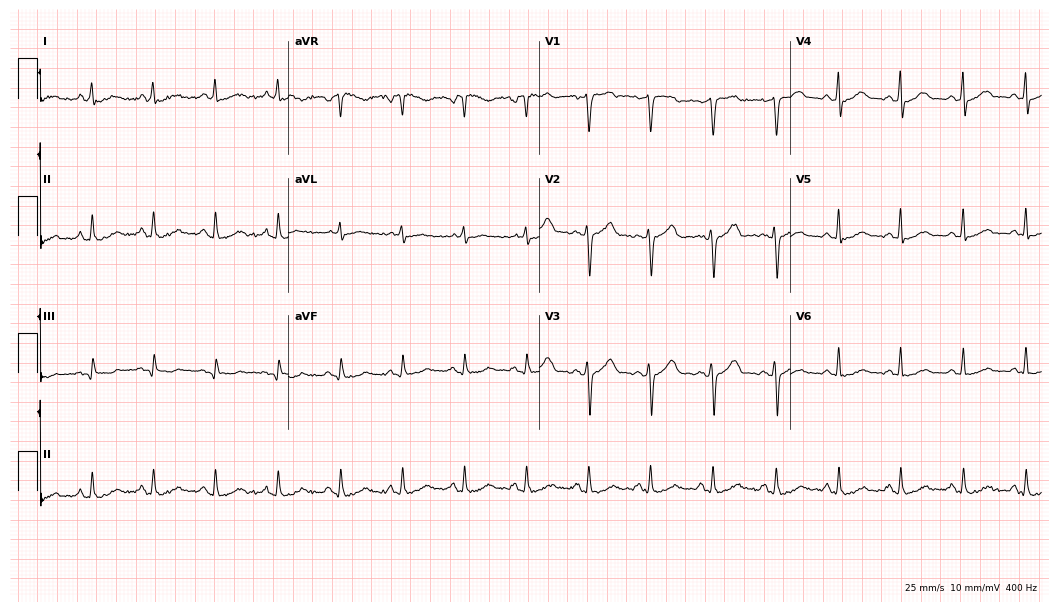
ECG — a 53-year-old female. Screened for six findings — first-degree AV block, right bundle branch block (RBBB), left bundle branch block (LBBB), sinus bradycardia, atrial fibrillation (AF), sinus tachycardia — none is recorded. Findings outside these six are not listed.